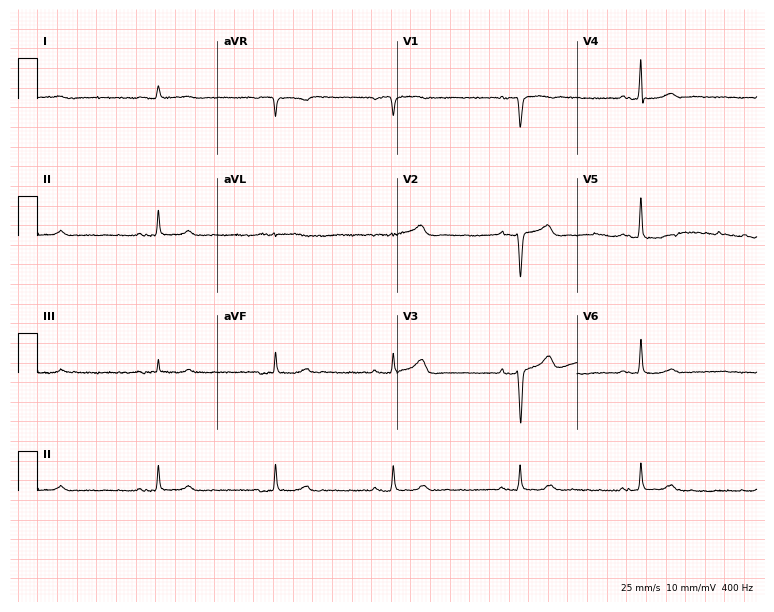
12-lead ECG from a male patient, 85 years old. Findings include sinus bradycardia (a sinus rate of 50 beats per minute or less).